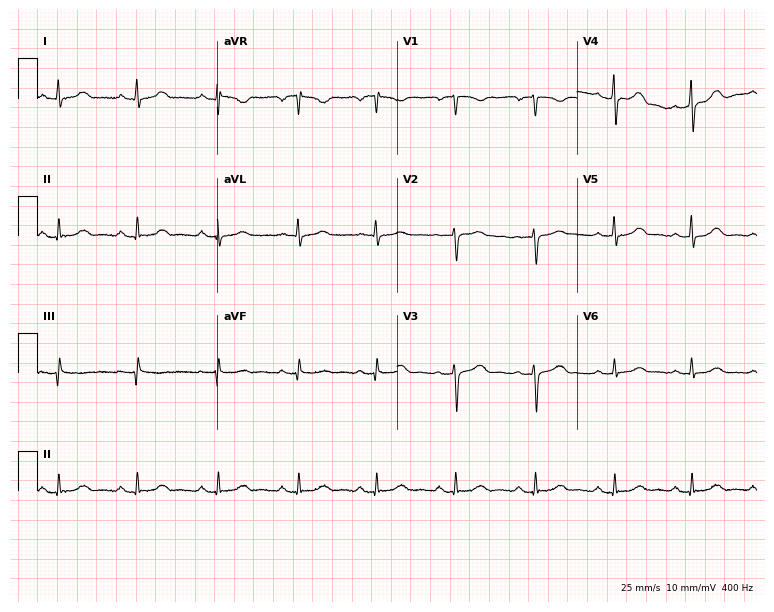
Electrocardiogram, a 41-year-old female patient. Overall reading on record: normal ECG.